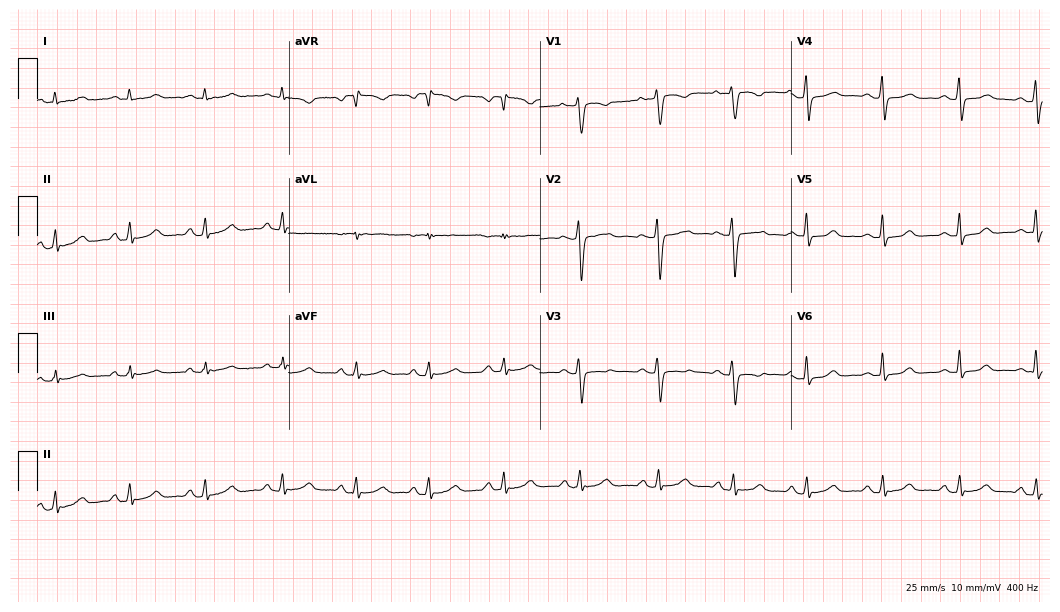
Standard 12-lead ECG recorded from a 28-year-old female patient. Read as a normal ECG.